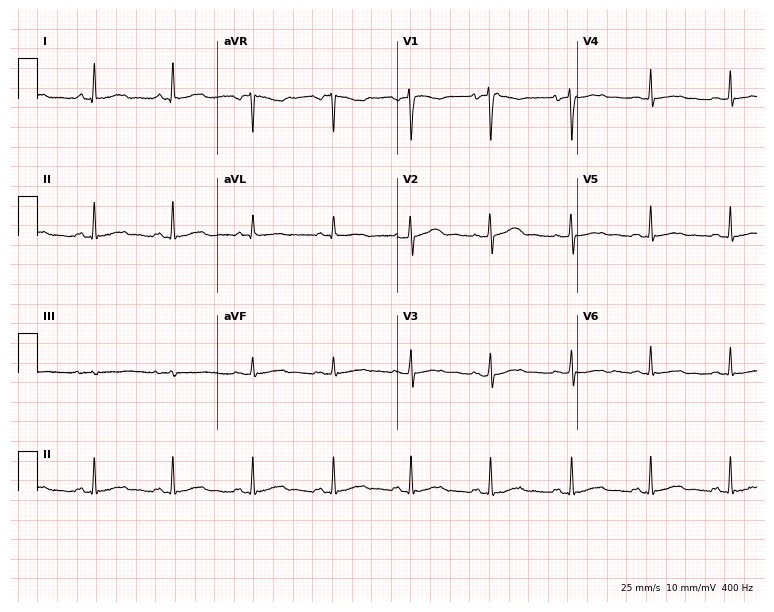
Resting 12-lead electrocardiogram. Patient: a female, 54 years old. Read as a normal ECG.